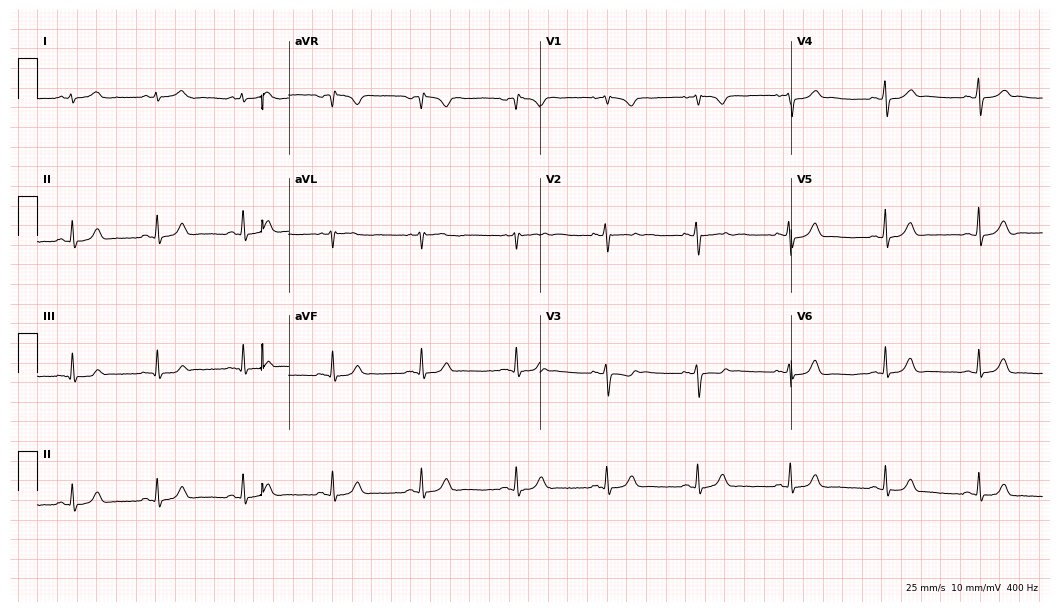
Resting 12-lead electrocardiogram. Patient: a 23-year-old woman. Read as a normal ECG.